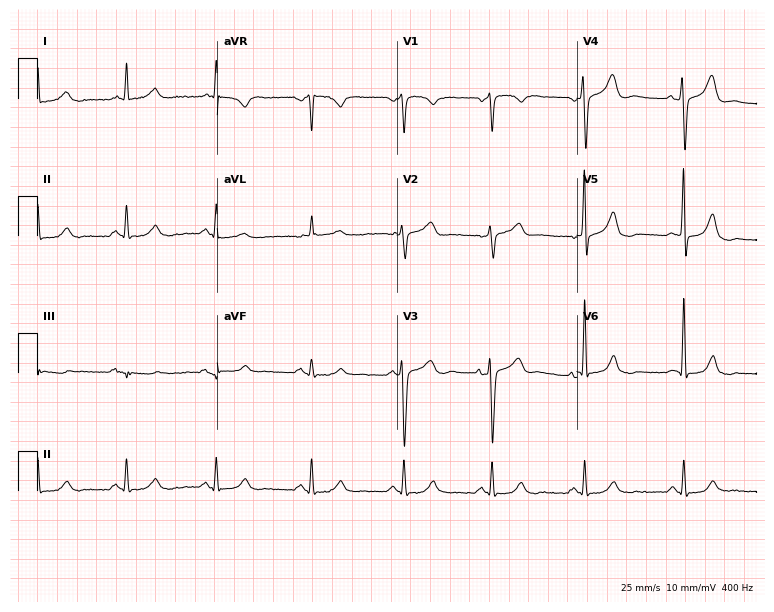
Electrocardiogram, a male, 66 years old. Of the six screened findings (first-degree AV block, right bundle branch block, left bundle branch block, sinus bradycardia, atrial fibrillation, sinus tachycardia), none is recorded. Other findings, if any, are not listed.